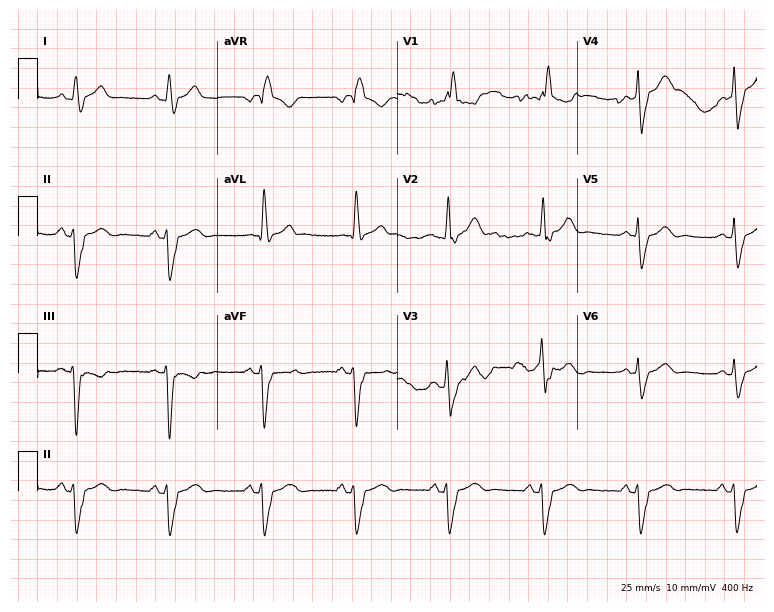
ECG — a man, 70 years old. Findings include right bundle branch block.